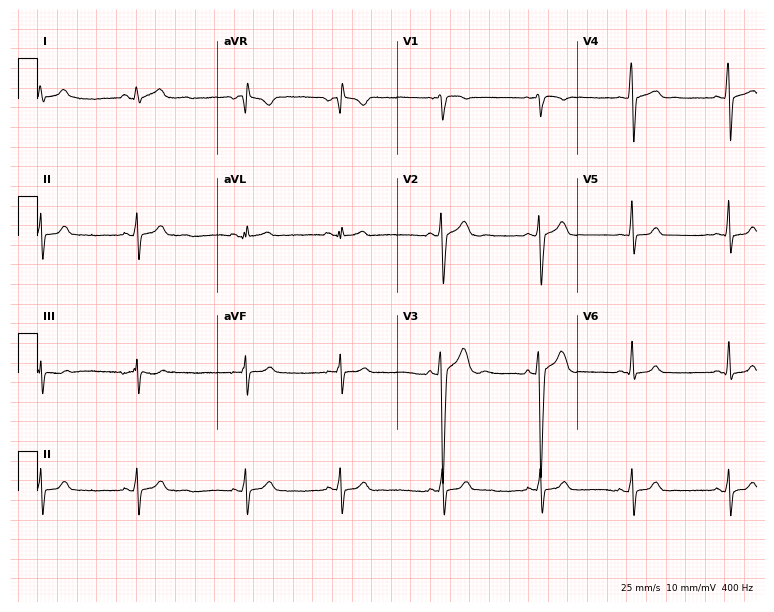
12-lead ECG from a woman, 21 years old. Screened for six findings — first-degree AV block, right bundle branch block, left bundle branch block, sinus bradycardia, atrial fibrillation, sinus tachycardia — none is recorded.